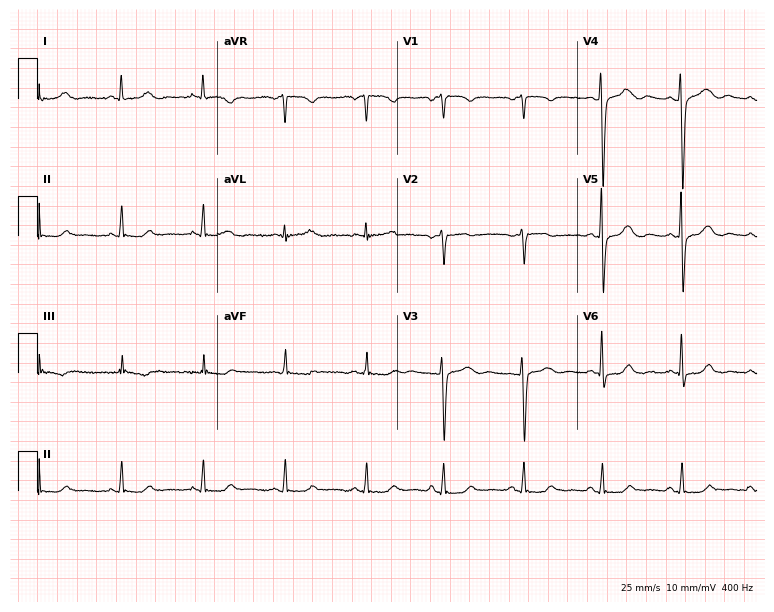
Electrocardiogram (7.3-second recording at 400 Hz), a female patient, 48 years old. Of the six screened findings (first-degree AV block, right bundle branch block (RBBB), left bundle branch block (LBBB), sinus bradycardia, atrial fibrillation (AF), sinus tachycardia), none is recorded. Findings outside these six are not listed.